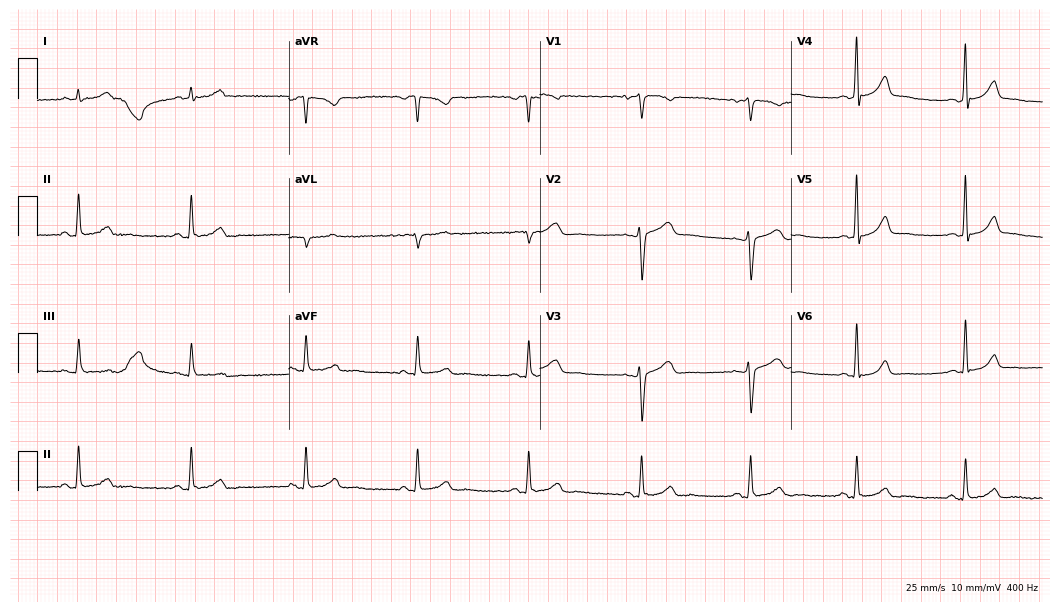
Resting 12-lead electrocardiogram. Patient: a female, 52 years old. None of these six findings is recorded: first-degree AV block, right bundle branch block (RBBB), left bundle branch block (LBBB), sinus bradycardia, atrial fibrillation (AF), sinus tachycardia.